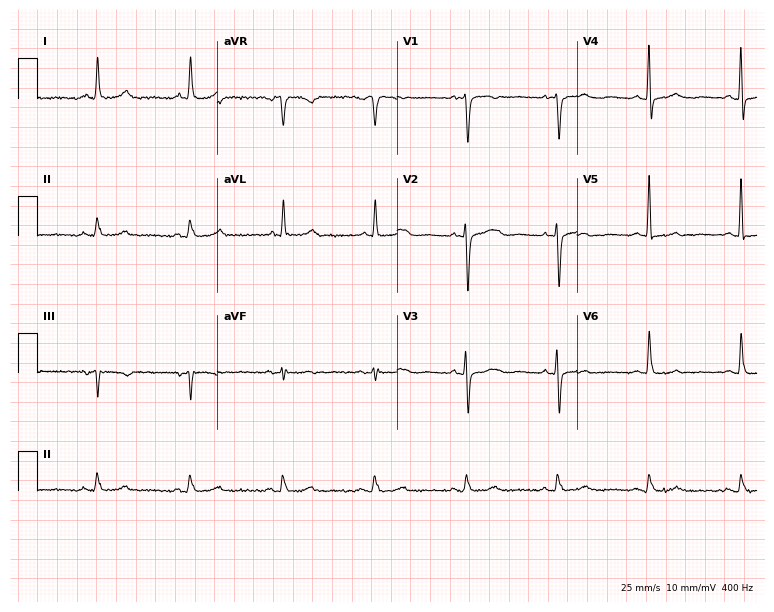
Resting 12-lead electrocardiogram (7.3-second recording at 400 Hz). Patient: a female, 77 years old. None of these six findings is recorded: first-degree AV block, right bundle branch block, left bundle branch block, sinus bradycardia, atrial fibrillation, sinus tachycardia. Findings outside these six are not listed.